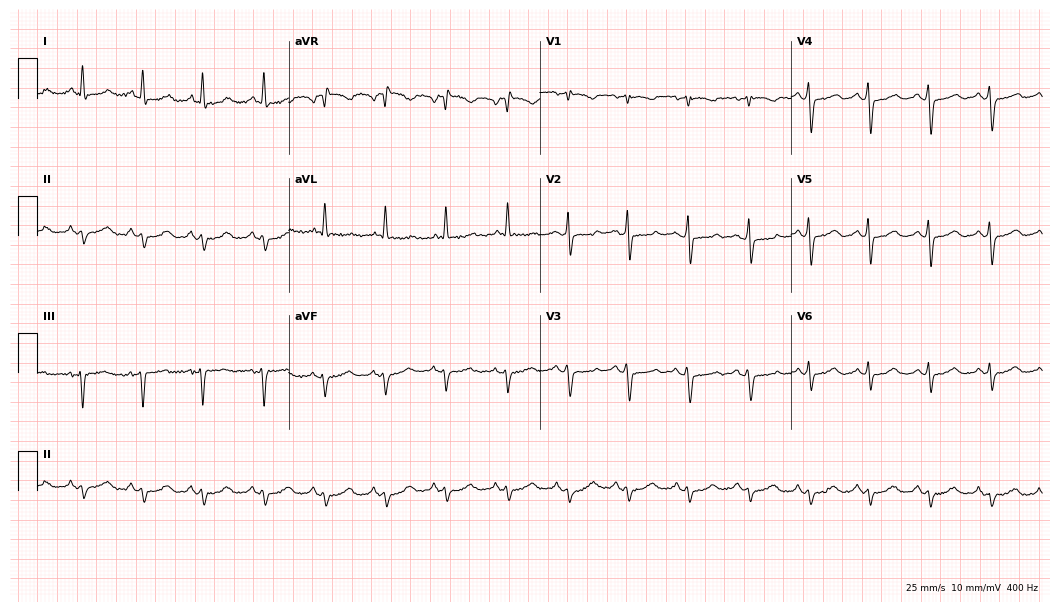
12-lead ECG from a 78-year-old woman. No first-degree AV block, right bundle branch block (RBBB), left bundle branch block (LBBB), sinus bradycardia, atrial fibrillation (AF) or sinus tachycardia recorded for this tracing. Only these six findings were labelled.